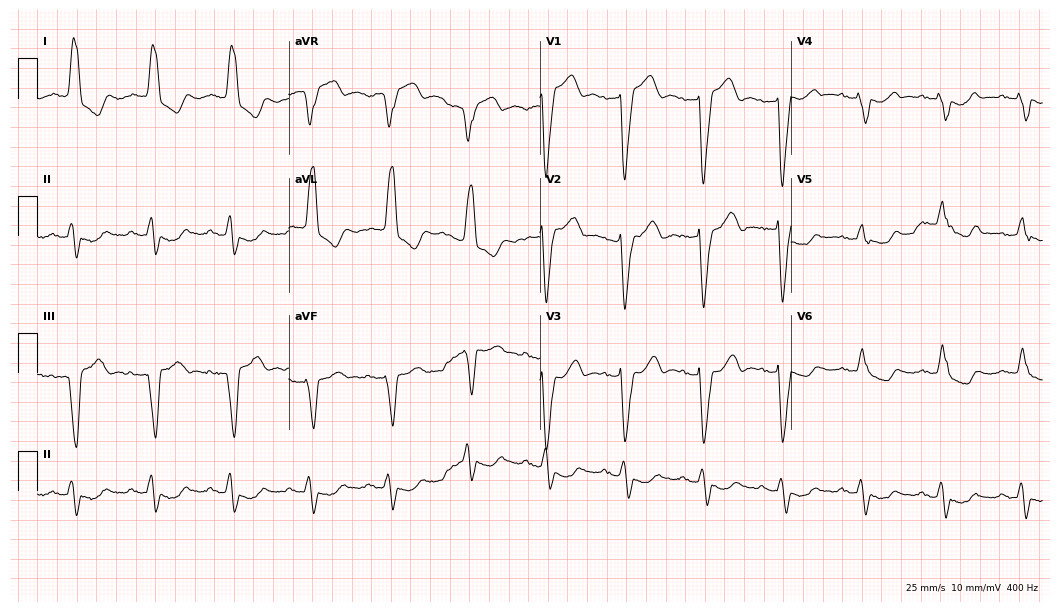
12-lead ECG from an 81-year-old female patient. Shows left bundle branch block.